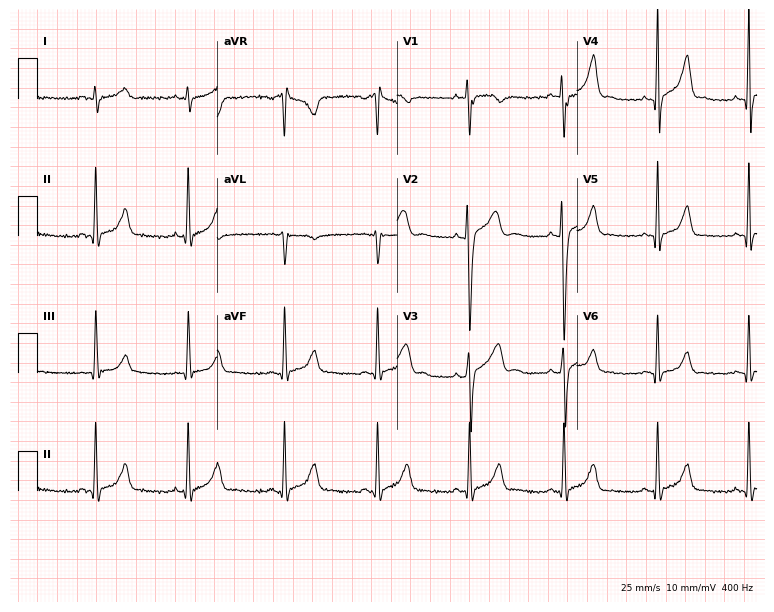
ECG — an 18-year-old man. Screened for six findings — first-degree AV block, right bundle branch block (RBBB), left bundle branch block (LBBB), sinus bradycardia, atrial fibrillation (AF), sinus tachycardia — none is recorded.